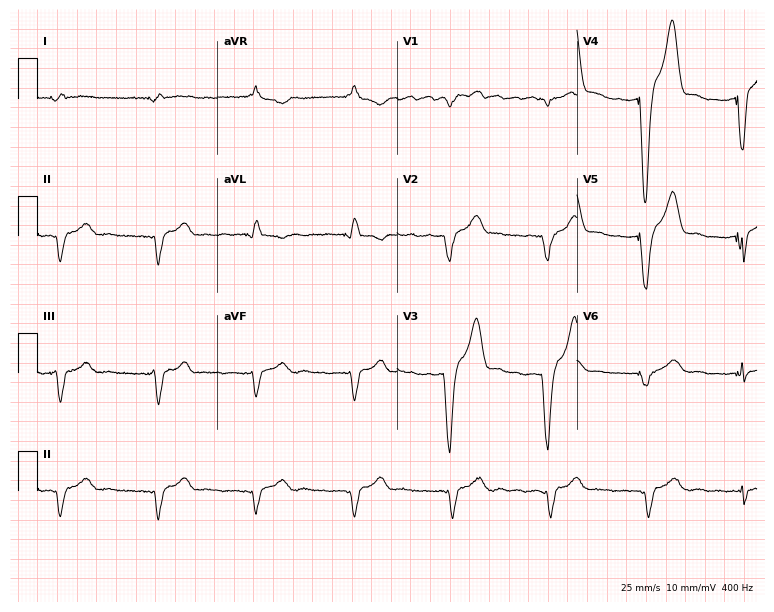
Electrocardiogram, a male patient, 79 years old. Of the six screened findings (first-degree AV block, right bundle branch block (RBBB), left bundle branch block (LBBB), sinus bradycardia, atrial fibrillation (AF), sinus tachycardia), none is recorded. Other findings, if any, are not listed.